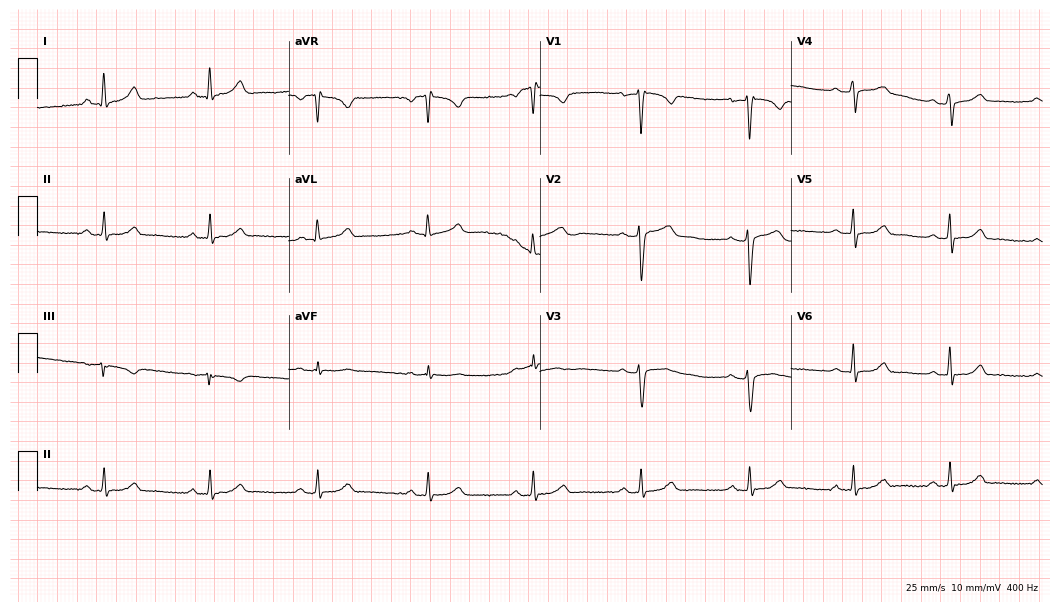
Resting 12-lead electrocardiogram. Patient: a female, 40 years old. None of these six findings is recorded: first-degree AV block, right bundle branch block (RBBB), left bundle branch block (LBBB), sinus bradycardia, atrial fibrillation (AF), sinus tachycardia.